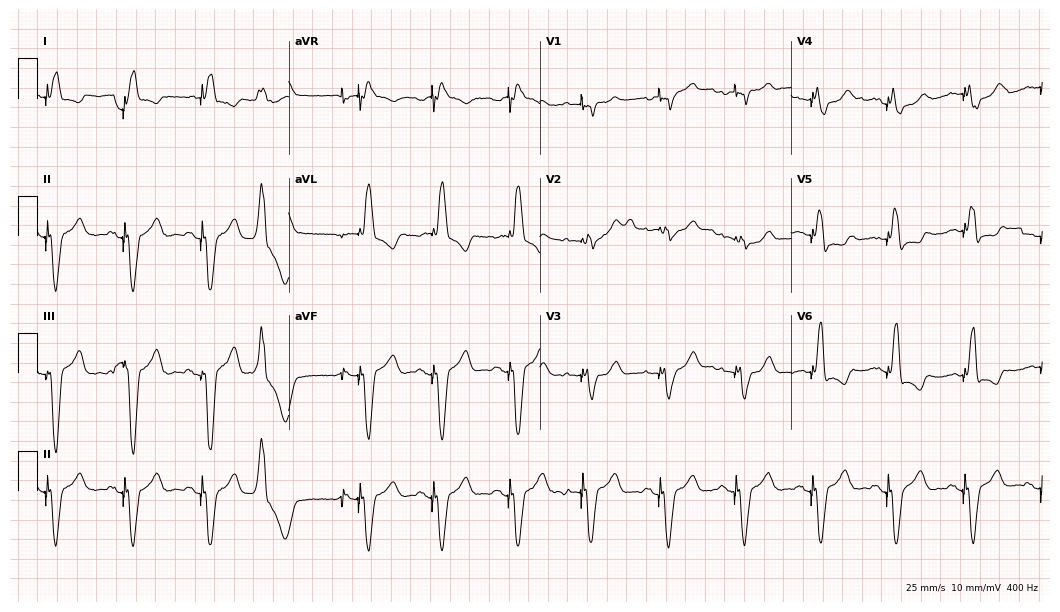
12-lead ECG from an 85-year-old male patient. No first-degree AV block, right bundle branch block (RBBB), left bundle branch block (LBBB), sinus bradycardia, atrial fibrillation (AF) or sinus tachycardia recorded for this tracing.